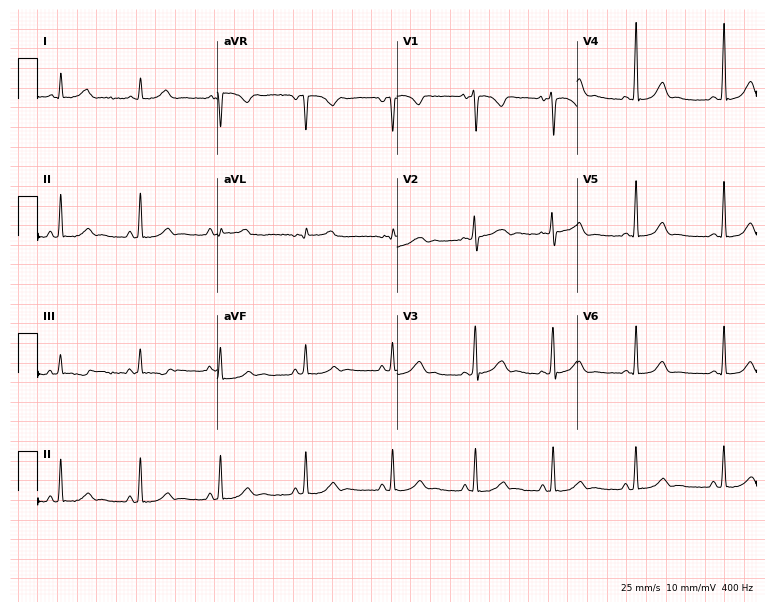
Electrocardiogram (7.3-second recording at 400 Hz), a 22-year-old female patient. Of the six screened findings (first-degree AV block, right bundle branch block, left bundle branch block, sinus bradycardia, atrial fibrillation, sinus tachycardia), none is recorded.